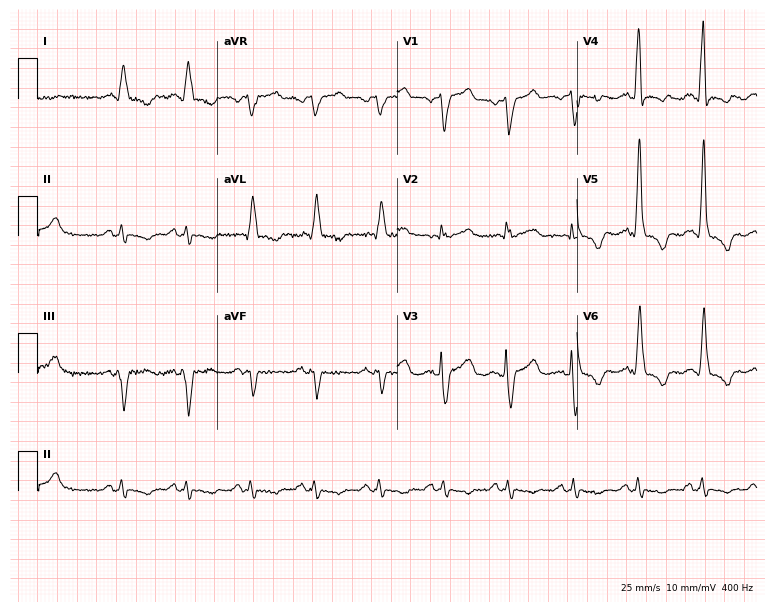
12-lead ECG from a man, 56 years old. Findings include left bundle branch block (LBBB).